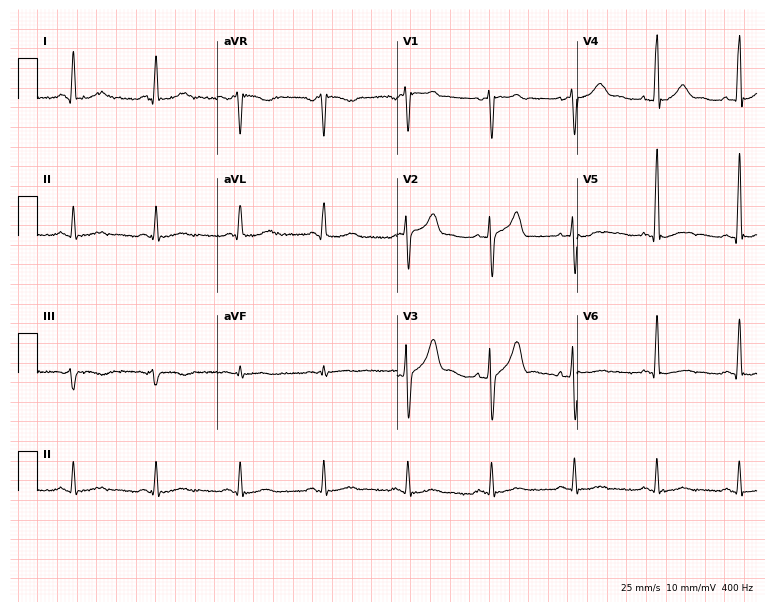
12-lead ECG from a male, 47 years old. No first-degree AV block, right bundle branch block, left bundle branch block, sinus bradycardia, atrial fibrillation or sinus tachycardia recorded for this tracing. Only these six findings were labelled.